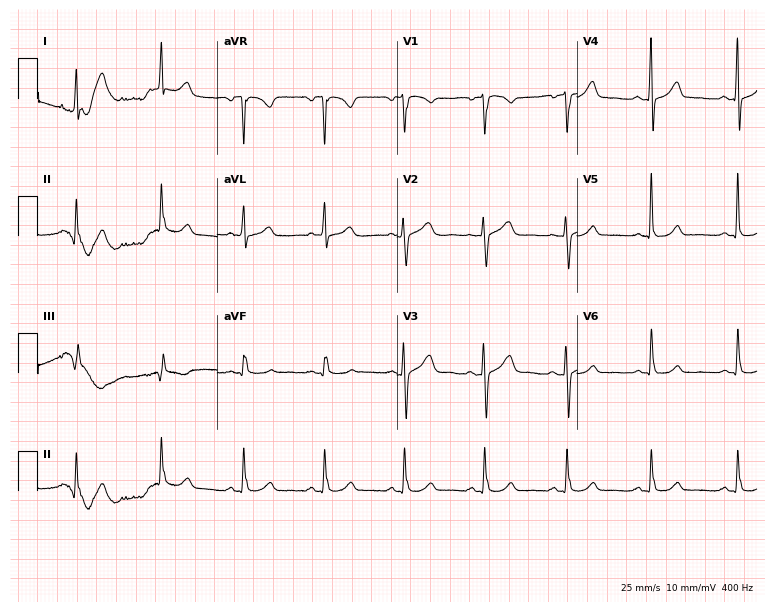
ECG (7.3-second recording at 400 Hz) — a female patient, 46 years old. Labelled as a normal ECG.